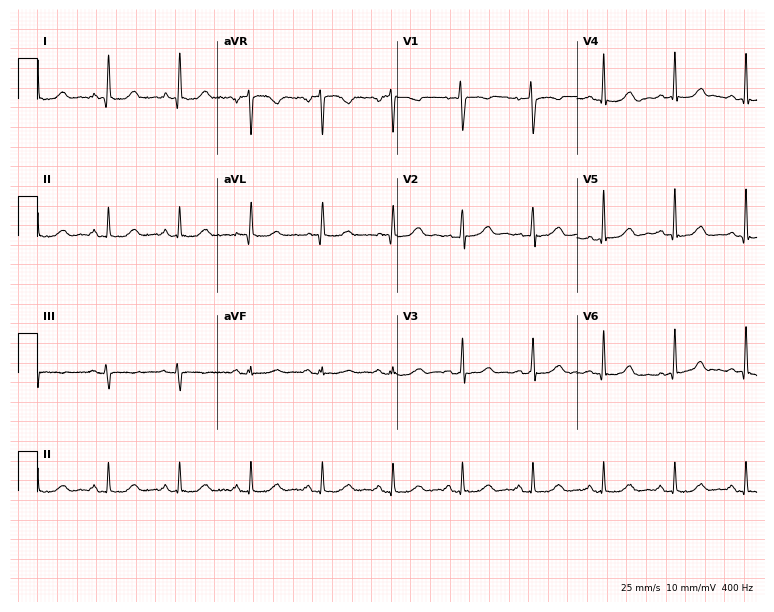
12-lead ECG from a 47-year-old woman. No first-degree AV block, right bundle branch block, left bundle branch block, sinus bradycardia, atrial fibrillation or sinus tachycardia recorded for this tracing.